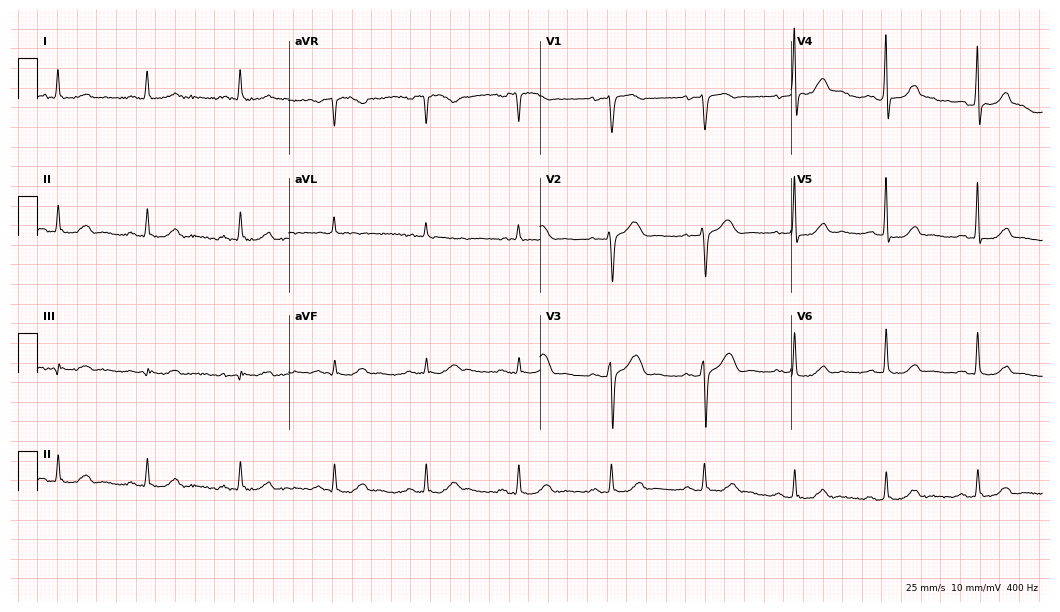
12-lead ECG from a female, 55 years old (10.2-second recording at 400 Hz). No first-degree AV block, right bundle branch block, left bundle branch block, sinus bradycardia, atrial fibrillation or sinus tachycardia recorded for this tracing.